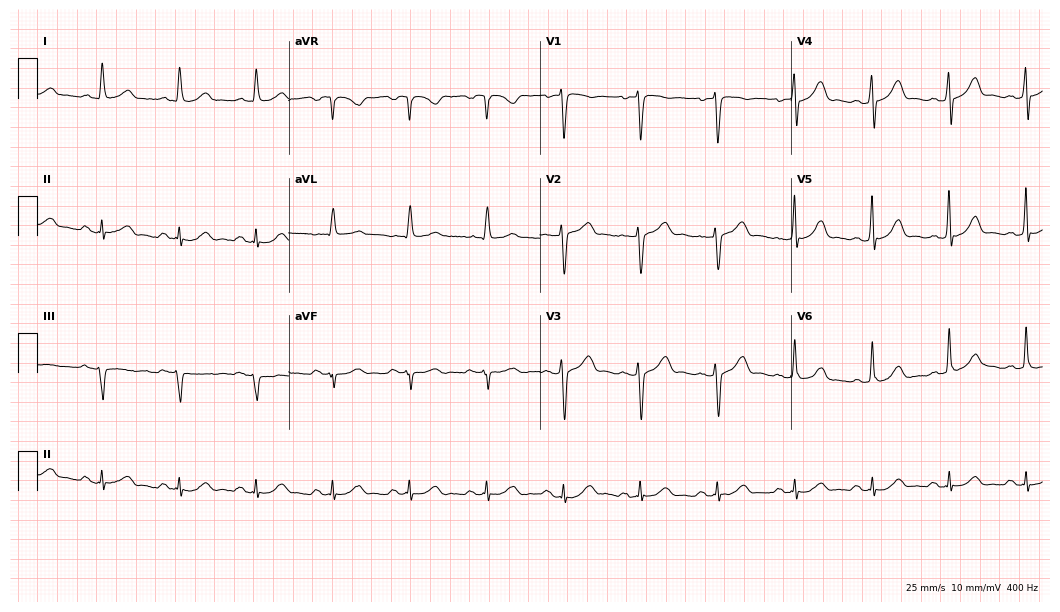
Resting 12-lead electrocardiogram (10.2-second recording at 400 Hz). Patient: a male, 62 years old. Read as a normal ECG.